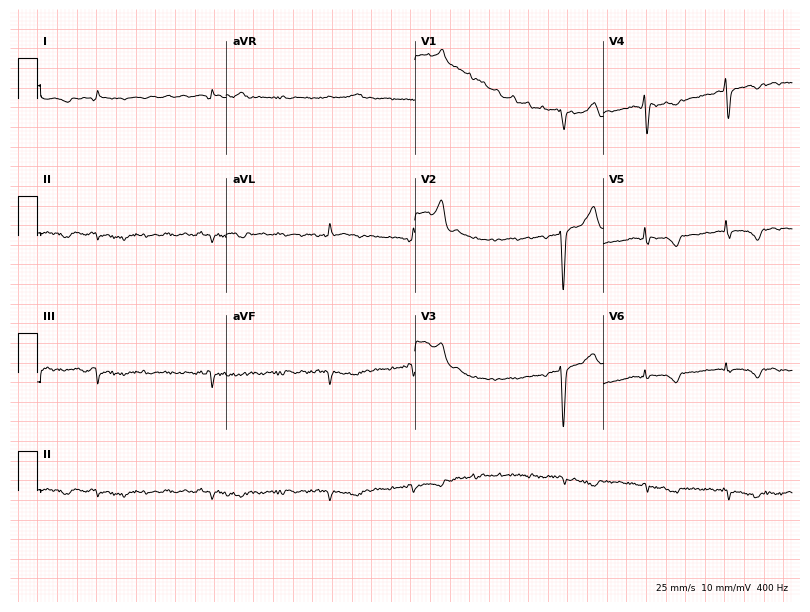
12-lead ECG (7.7-second recording at 400 Hz) from a 52-year-old male patient. Screened for six findings — first-degree AV block, right bundle branch block, left bundle branch block, sinus bradycardia, atrial fibrillation, sinus tachycardia — none is recorded.